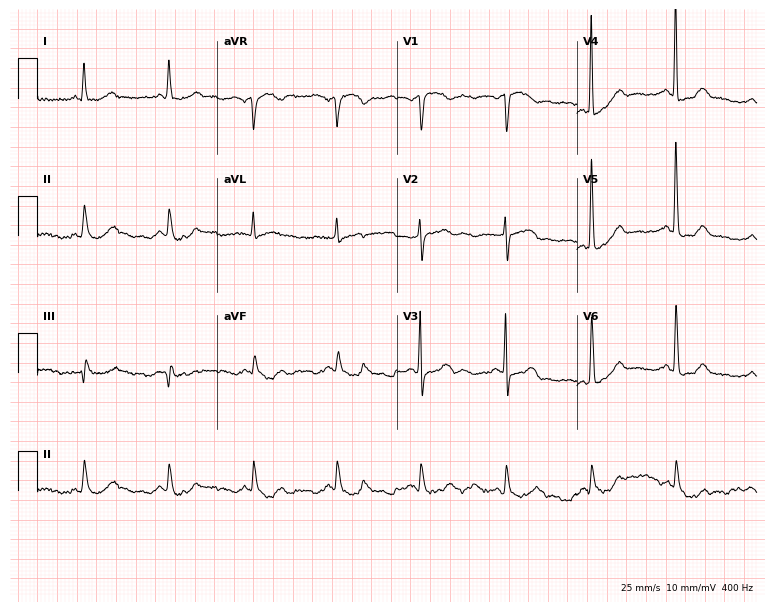
ECG — a woman, 66 years old. Screened for six findings — first-degree AV block, right bundle branch block, left bundle branch block, sinus bradycardia, atrial fibrillation, sinus tachycardia — none is recorded. Only these six findings were labelled.